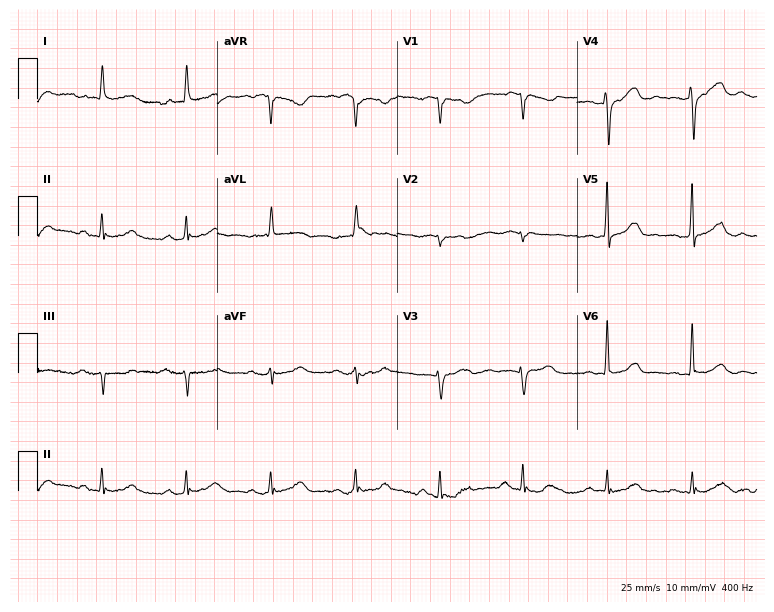
12-lead ECG from a 75-year-old female. Labelled as a normal ECG.